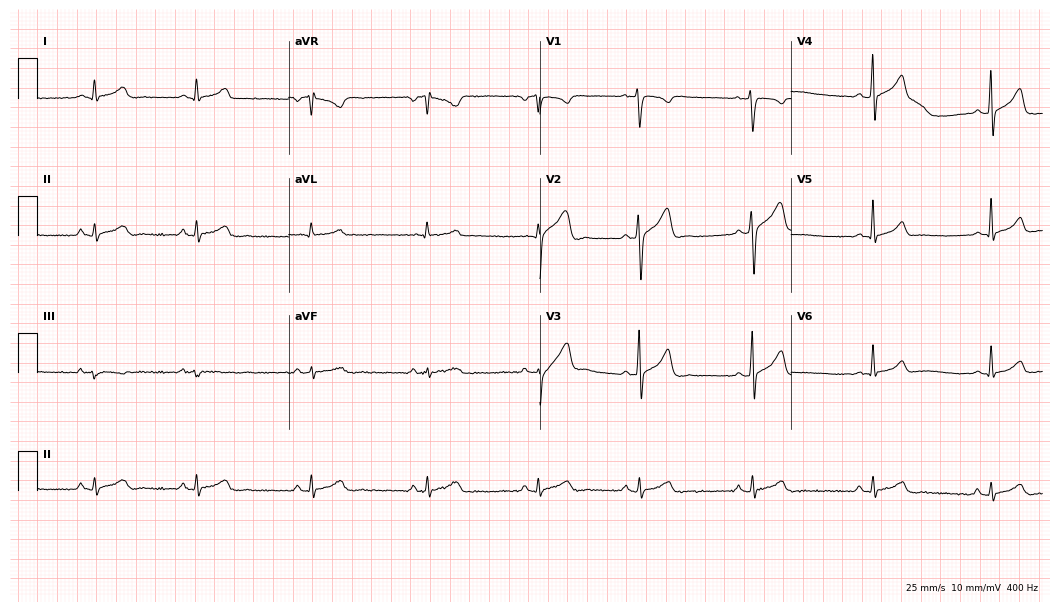
Resting 12-lead electrocardiogram. Patient: a male, 30 years old. Read as a normal ECG.